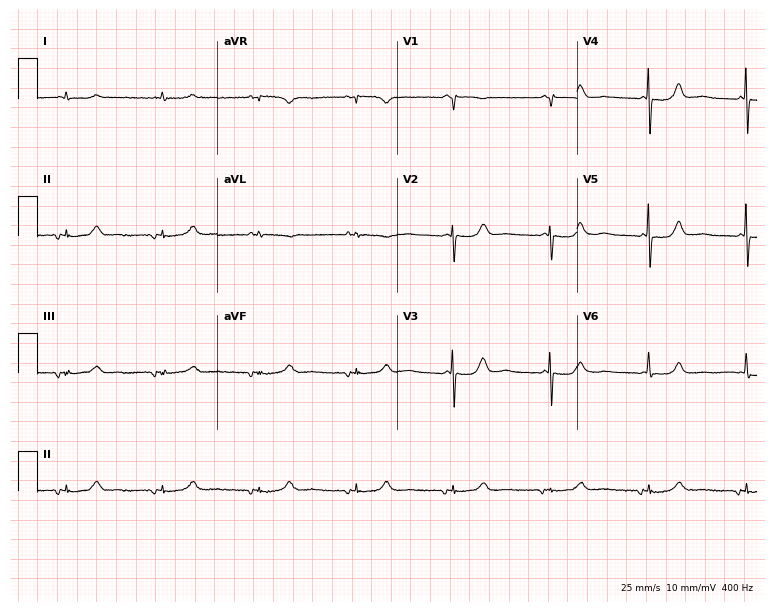
Electrocardiogram, a 62-year-old female patient. Of the six screened findings (first-degree AV block, right bundle branch block (RBBB), left bundle branch block (LBBB), sinus bradycardia, atrial fibrillation (AF), sinus tachycardia), none is recorded.